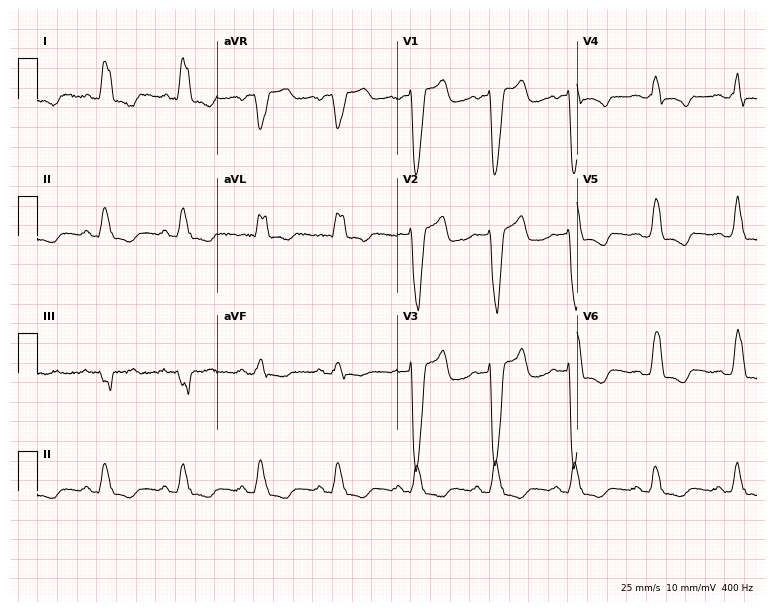
Resting 12-lead electrocardiogram. Patient: a male, 60 years old. The tracing shows left bundle branch block.